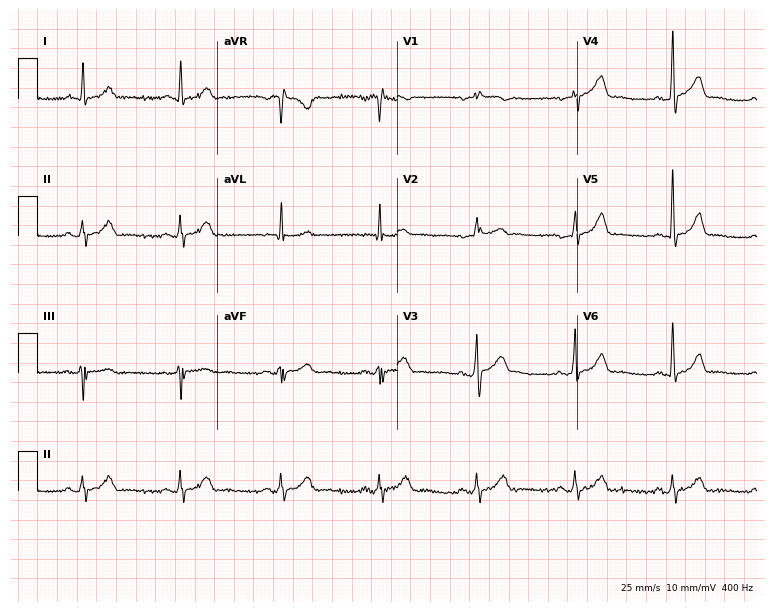
Electrocardiogram, a 60-year-old male patient. Overall reading on record: normal ECG.